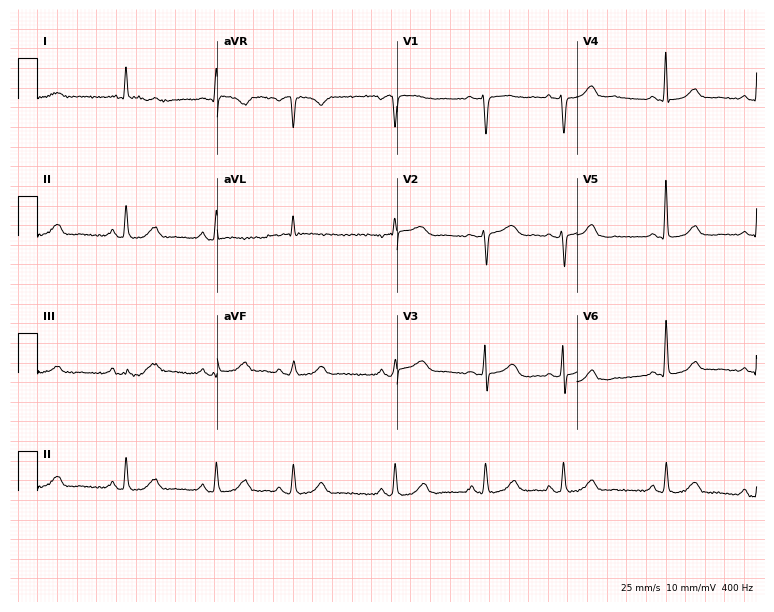
ECG — a female, 78 years old. Screened for six findings — first-degree AV block, right bundle branch block, left bundle branch block, sinus bradycardia, atrial fibrillation, sinus tachycardia — none is recorded.